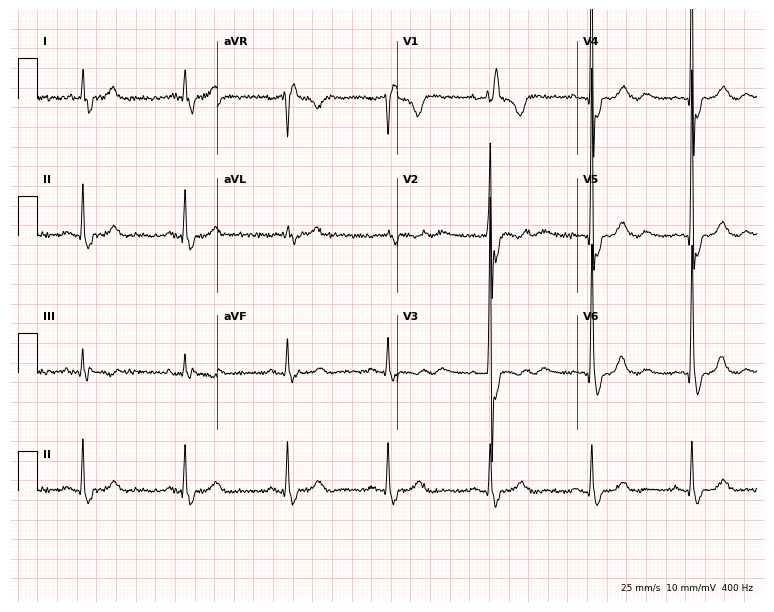
Electrocardiogram (7.3-second recording at 400 Hz), a 78-year-old woman. Interpretation includes right bundle branch block.